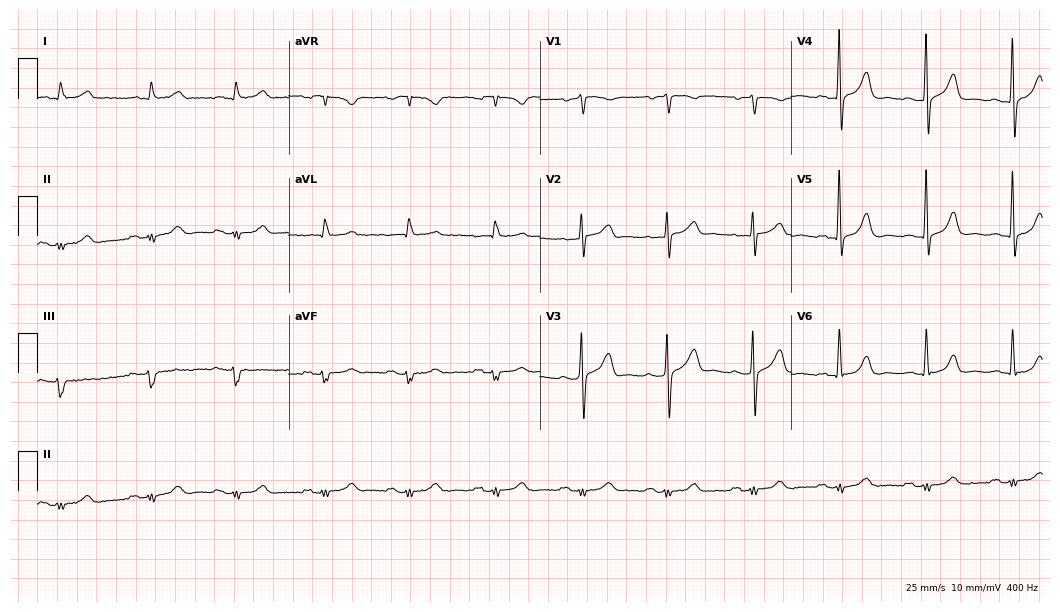
Standard 12-lead ECG recorded from a male patient, 73 years old (10.2-second recording at 400 Hz). None of these six findings is recorded: first-degree AV block, right bundle branch block, left bundle branch block, sinus bradycardia, atrial fibrillation, sinus tachycardia. Other findings, if any, are not listed.